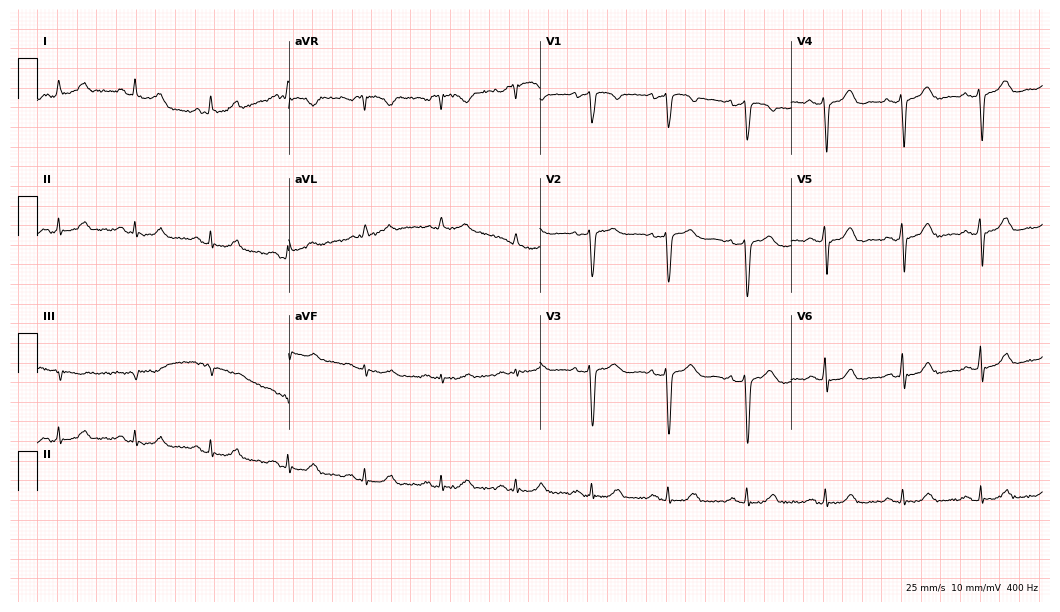
Resting 12-lead electrocardiogram (10.2-second recording at 400 Hz). Patient: a female, 60 years old. None of these six findings is recorded: first-degree AV block, right bundle branch block, left bundle branch block, sinus bradycardia, atrial fibrillation, sinus tachycardia.